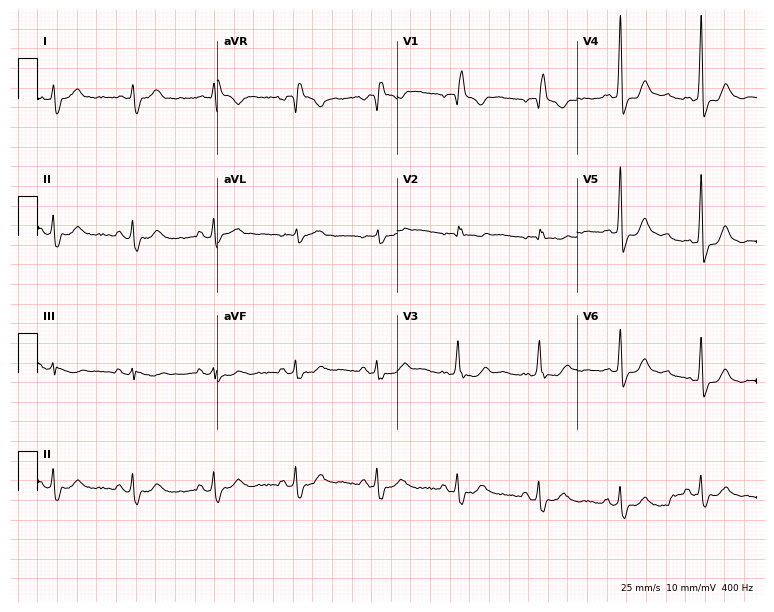
ECG (7.3-second recording at 400 Hz) — a 66-year-old female. Findings include right bundle branch block.